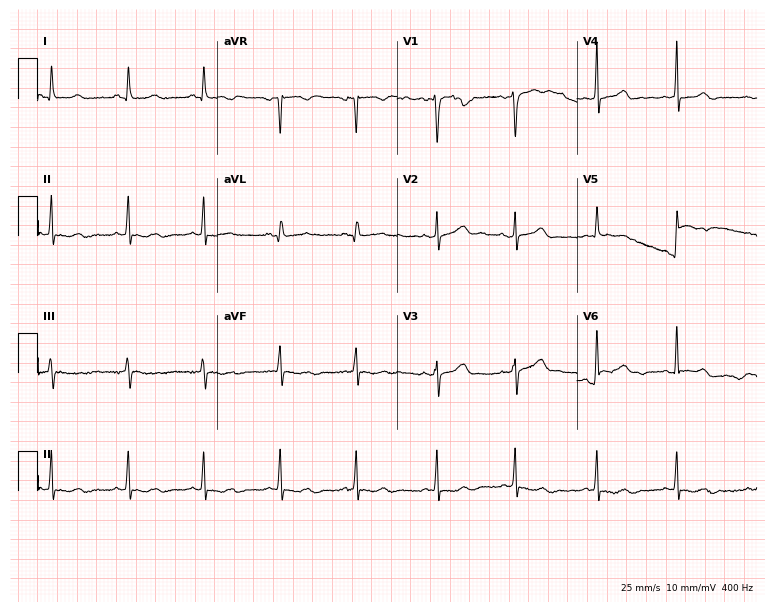
Electrocardiogram (7.3-second recording at 400 Hz), a female patient, 28 years old. Of the six screened findings (first-degree AV block, right bundle branch block (RBBB), left bundle branch block (LBBB), sinus bradycardia, atrial fibrillation (AF), sinus tachycardia), none is recorded.